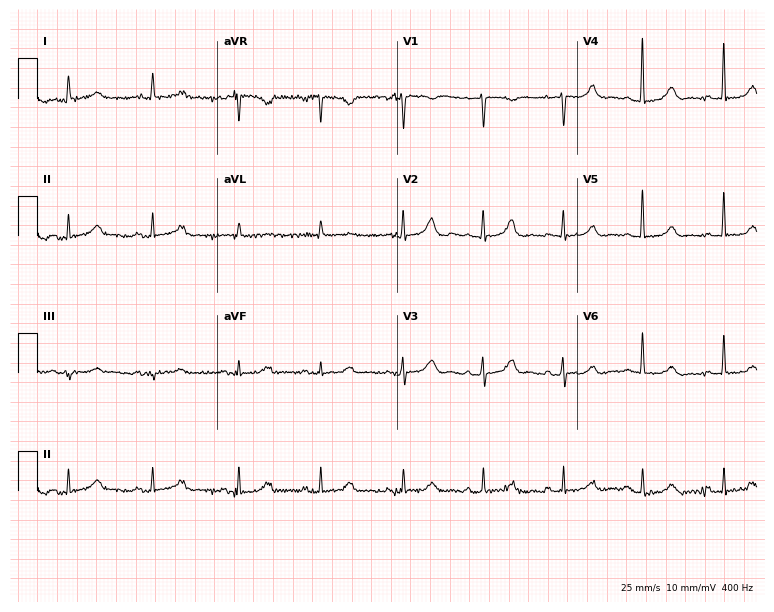
Resting 12-lead electrocardiogram. Patient: an 85-year-old female. None of these six findings is recorded: first-degree AV block, right bundle branch block (RBBB), left bundle branch block (LBBB), sinus bradycardia, atrial fibrillation (AF), sinus tachycardia. Findings outside these six are not listed.